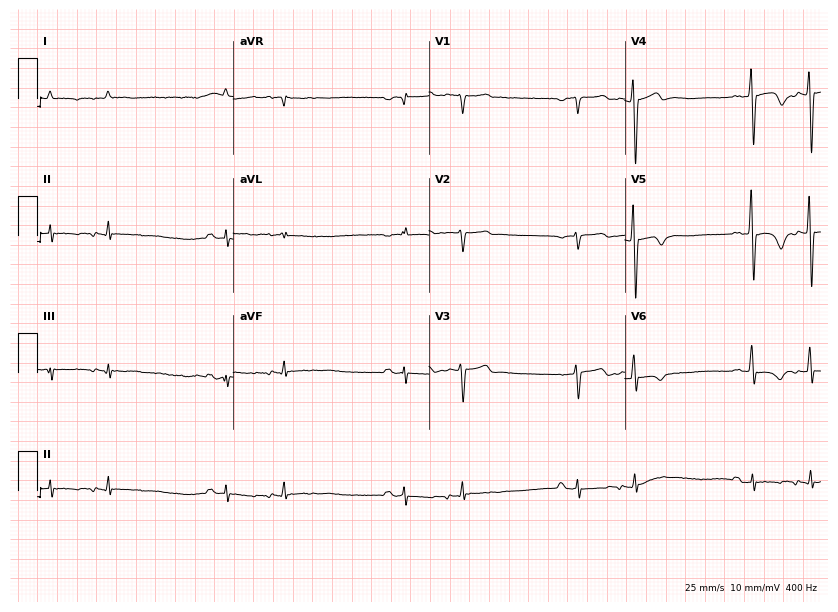
Standard 12-lead ECG recorded from a man, 76 years old. None of these six findings is recorded: first-degree AV block, right bundle branch block, left bundle branch block, sinus bradycardia, atrial fibrillation, sinus tachycardia. Only these six findings were labelled.